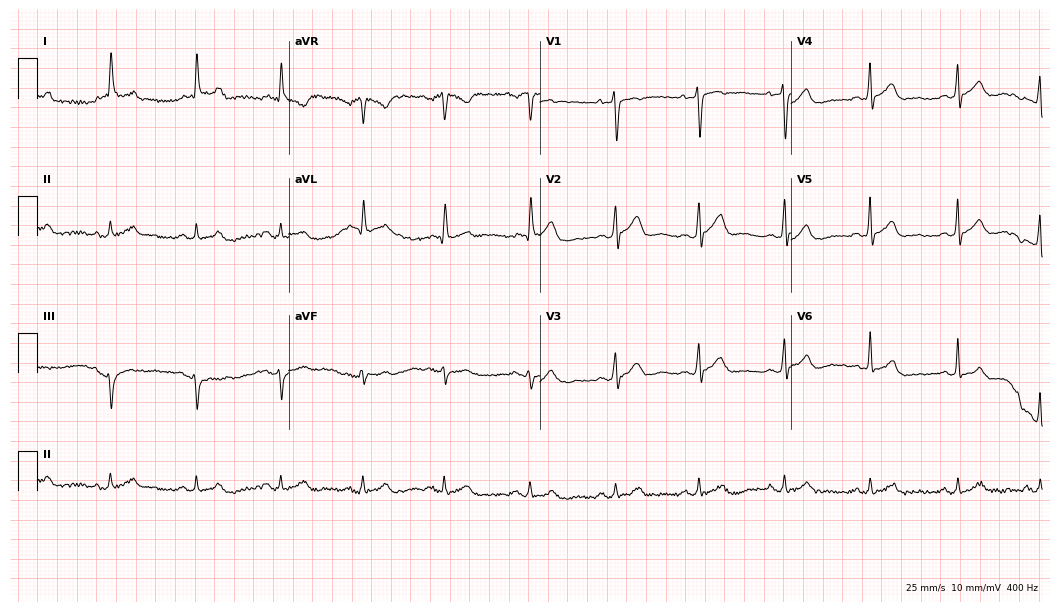
Resting 12-lead electrocardiogram (10.2-second recording at 400 Hz). Patient: a 44-year-old male. Read as a normal ECG.